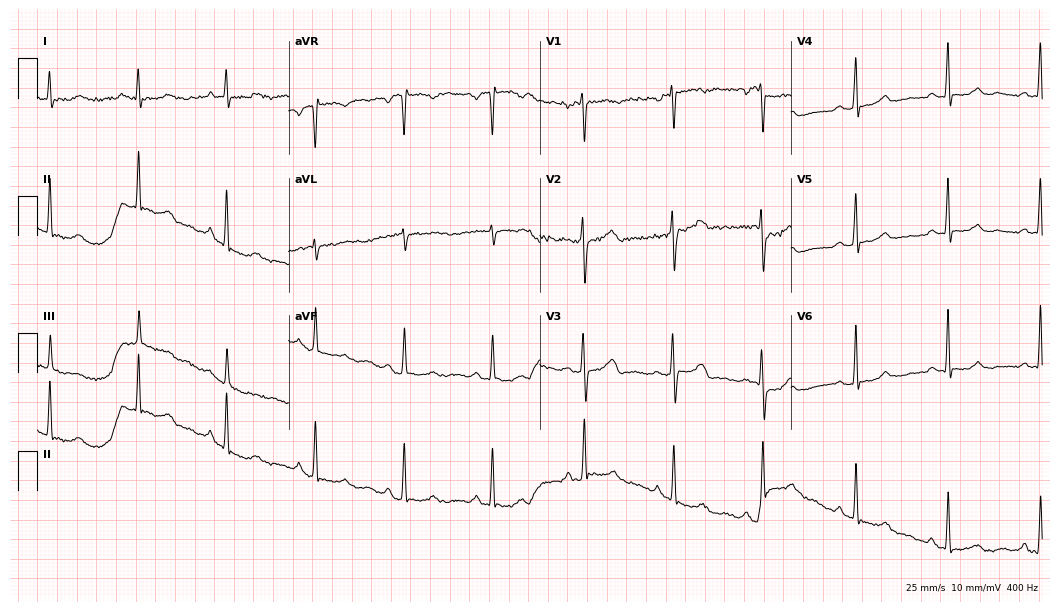
12-lead ECG from a female patient, 62 years old. Labelled as a normal ECG.